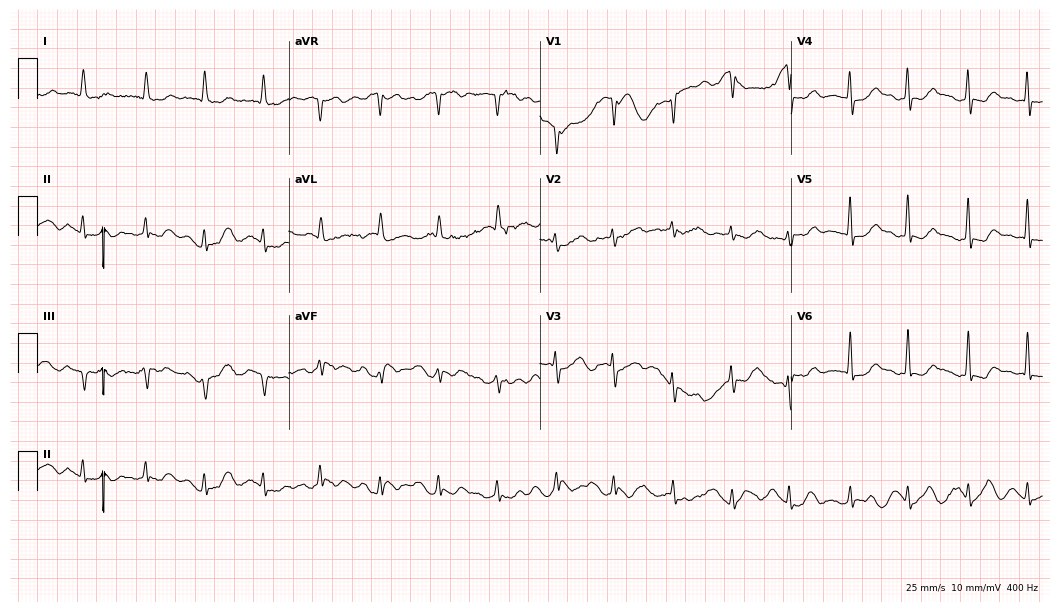
12-lead ECG from an 85-year-old female. Screened for six findings — first-degree AV block, right bundle branch block (RBBB), left bundle branch block (LBBB), sinus bradycardia, atrial fibrillation (AF), sinus tachycardia — none is recorded. Only these six findings were labelled.